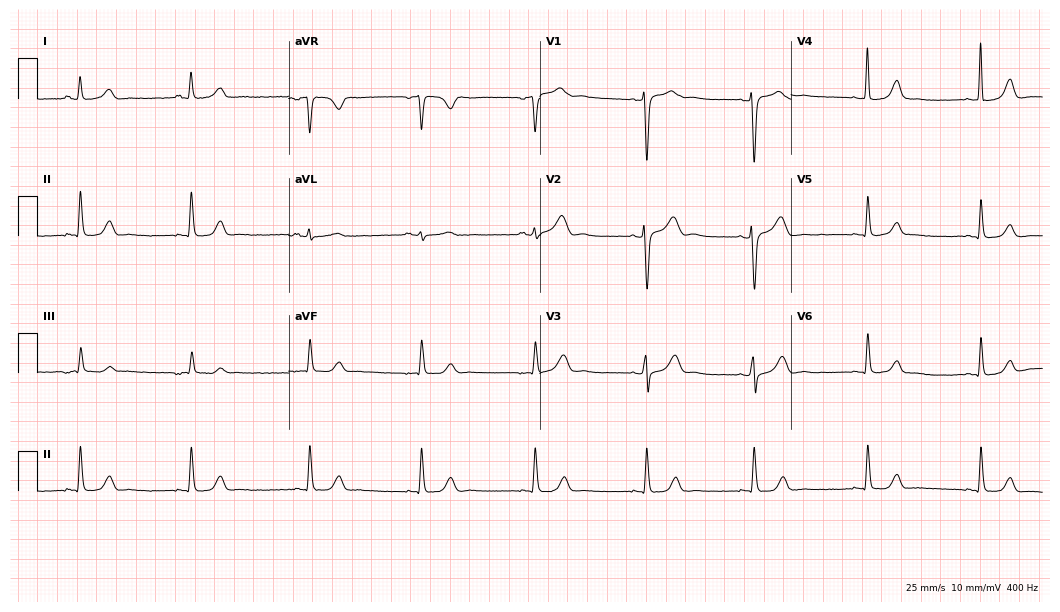
ECG — a woman, 38 years old. Screened for six findings — first-degree AV block, right bundle branch block, left bundle branch block, sinus bradycardia, atrial fibrillation, sinus tachycardia — none is recorded.